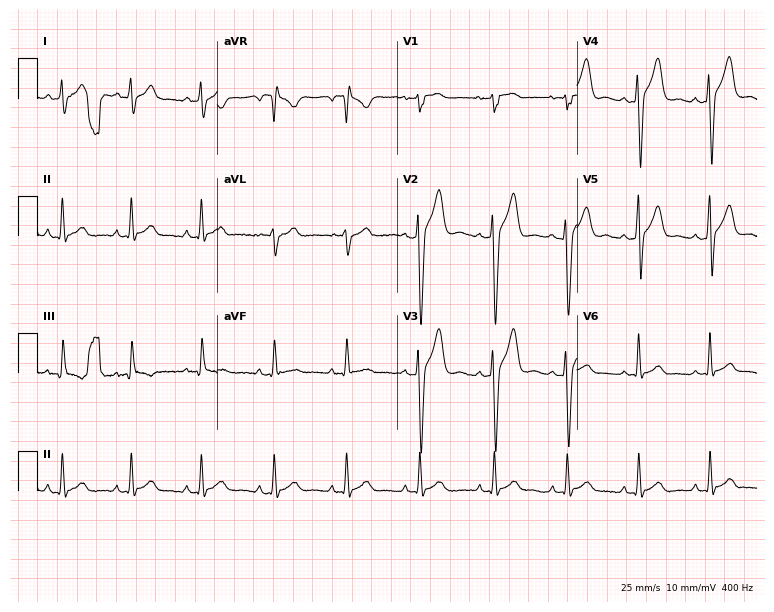
12-lead ECG (7.3-second recording at 400 Hz) from a 24-year-old man. Screened for six findings — first-degree AV block, right bundle branch block, left bundle branch block, sinus bradycardia, atrial fibrillation, sinus tachycardia — none is recorded.